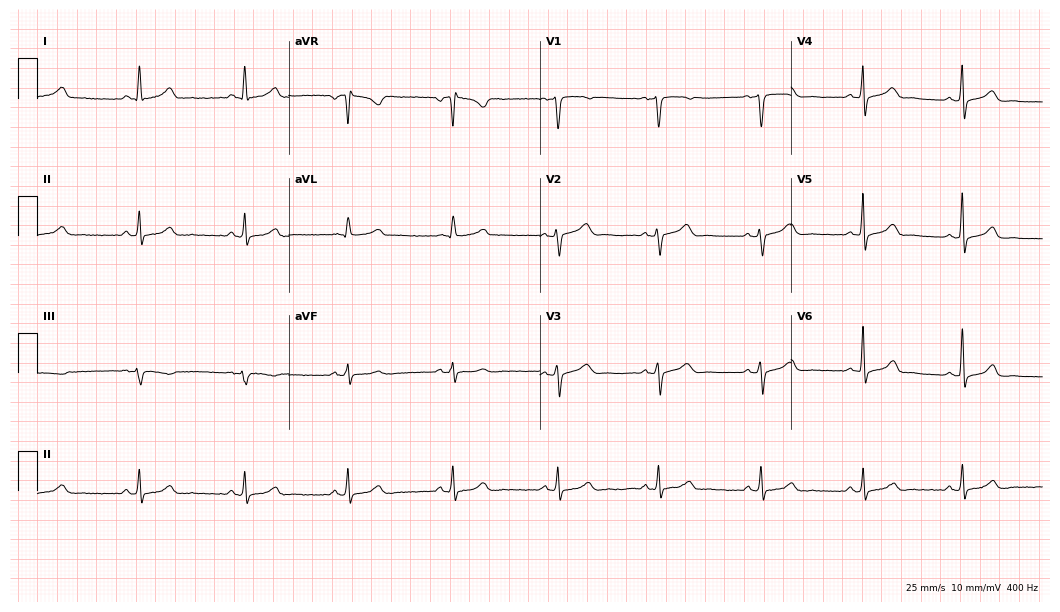
Resting 12-lead electrocardiogram (10.2-second recording at 400 Hz). Patient: a woman, 59 years old. Read as a normal ECG.